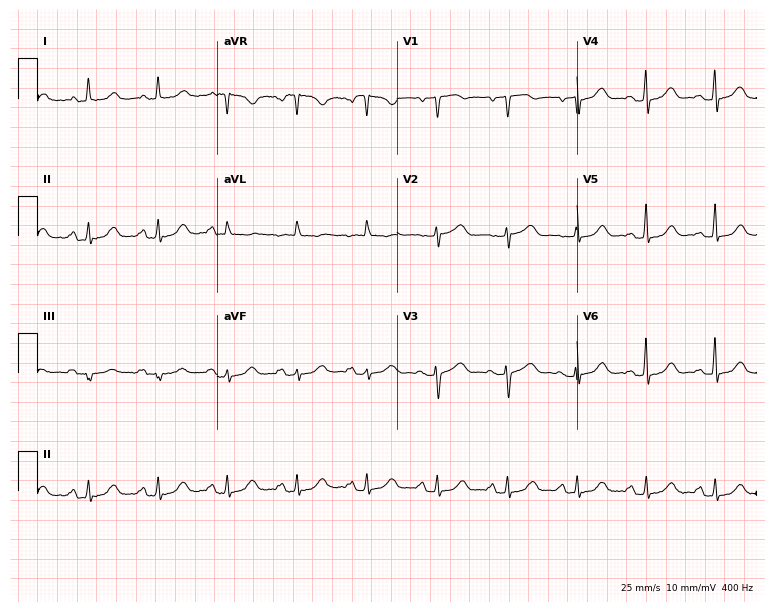
12-lead ECG (7.3-second recording at 400 Hz) from a 66-year-old woman. Screened for six findings — first-degree AV block, right bundle branch block, left bundle branch block, sinus bradycardia, atrial fibrillation, sinus tachycardia — none is recorded. Findings outside these six are not listed.